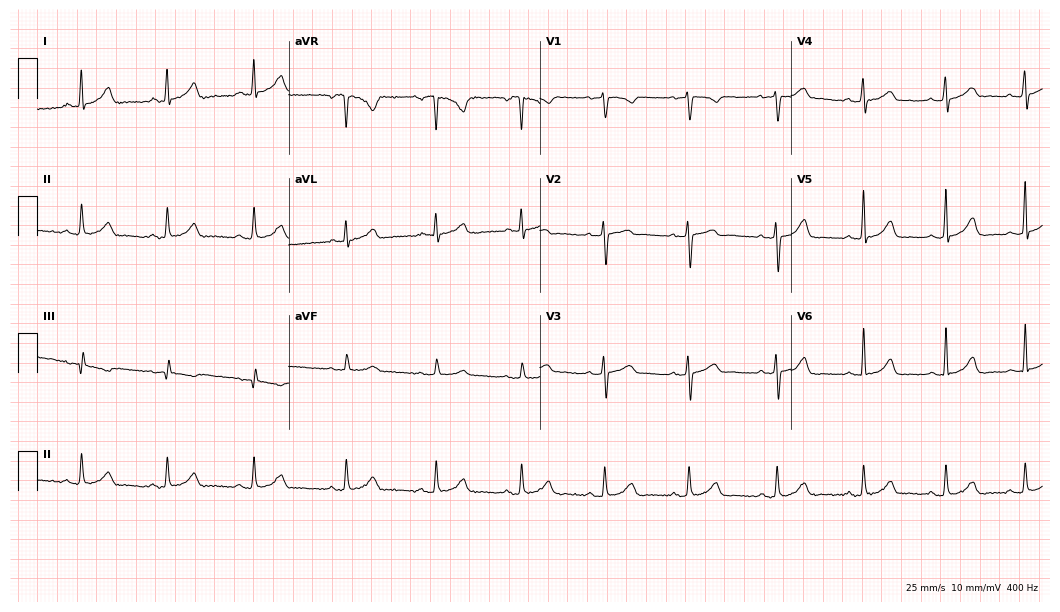
ECG (10.2-second recording at 400 Hz) — a female, 32 years old. Labelled as a normal ECG.